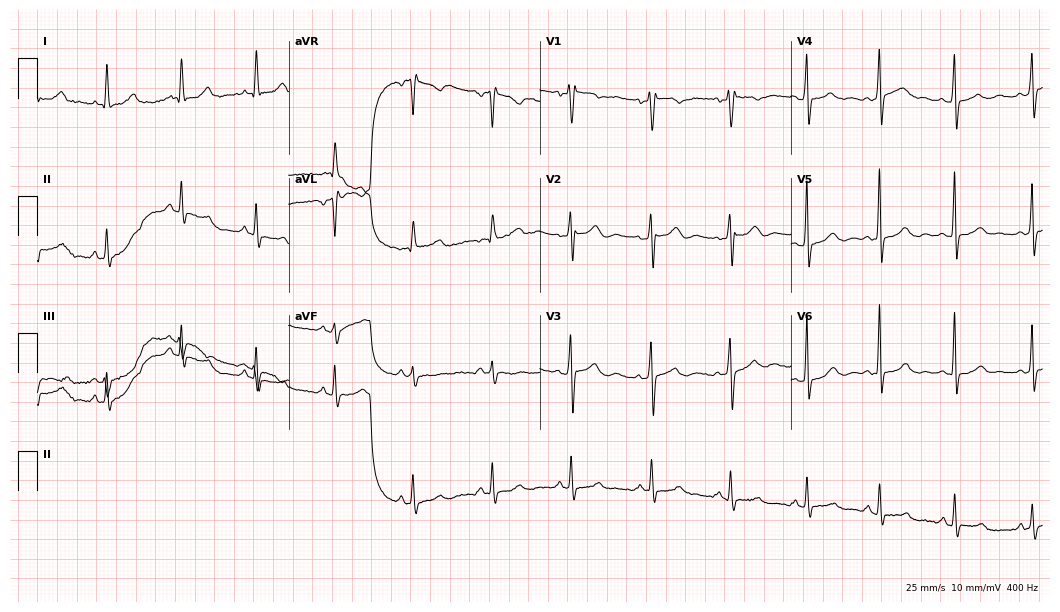
12-lead ECG from a woman, 34 years old. Recorded interpretation: within normal limits.